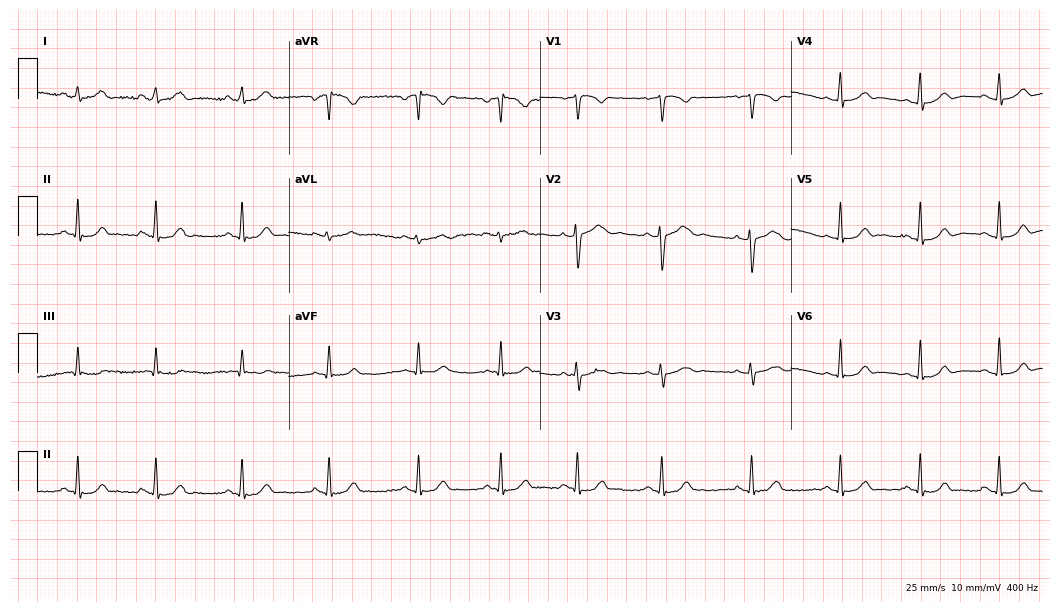
12-lead ECG from a female patient, 21 years old. Screened for six findings — first-degree AV block, right bundle branch block, left bundle branch block, sinus bradycardia, atrial fibrillation, sinus tachycardia — none is recorded. Other findings, if any, are not listed.